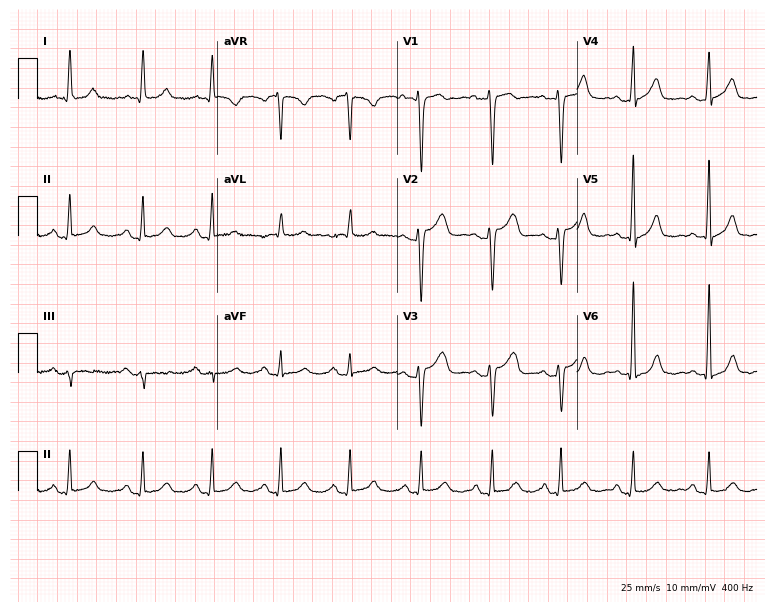
ECG (7.3-second recording at 400 Hz) — a female, 56 years old. Screened for six findings — first-degree AV block, right bundle branch block, left bundle branch block, sinus bradycardia, atrial fibrillation, sinus tachycardia — none is recorded.